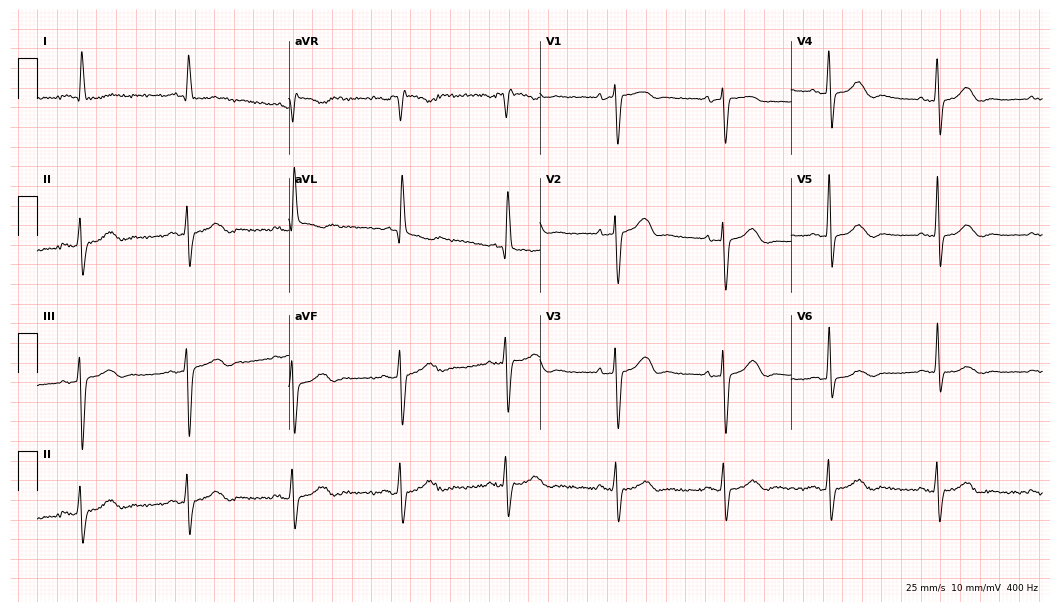
Electrocardiogram, an 84-year-old female patient. Of the six screened findings (first-degree AV block, right bundle branch block, left bundle branch block, sinus bradycardia, atrial fibrillation, sinus tachycardia), none is recorded.